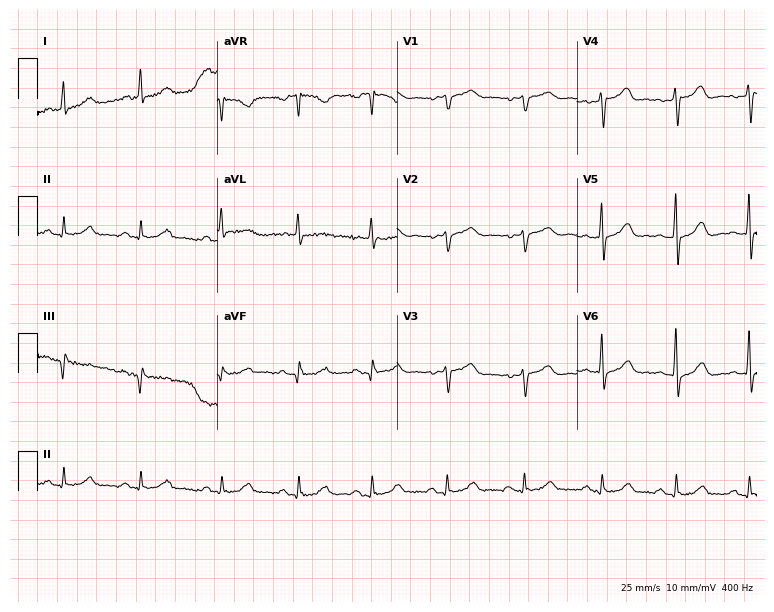
Resting 12-lead electrocardiogram. Patient: a 75-year-old woman. None of these six findings is recorded: first-degree AV block, right bundle branch block (RBBB), left bundle branch block (LBBB), sinus bradycardia, atrial fibrillation (AF), sinus tachycardia.